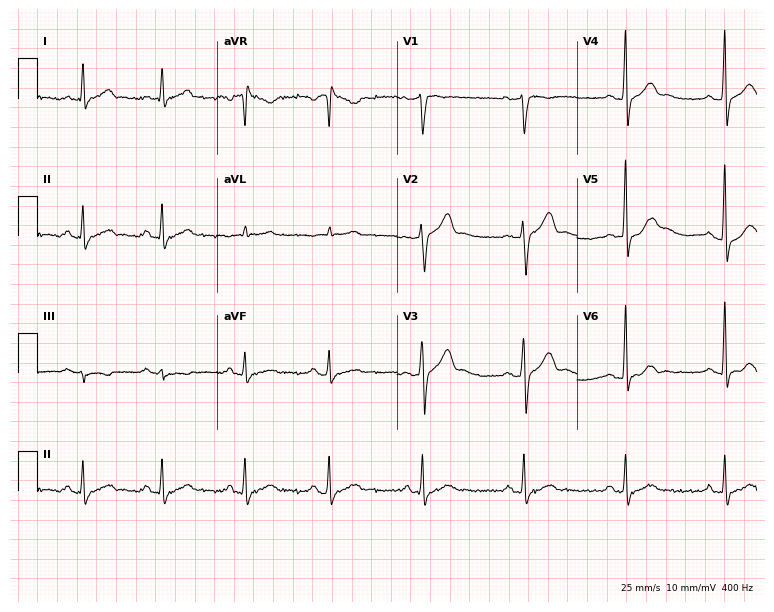
Standard 12-lead ECG recorded from a male, 37 years old (7.3-second recording at 400 Hz). Read as a normal ECG.